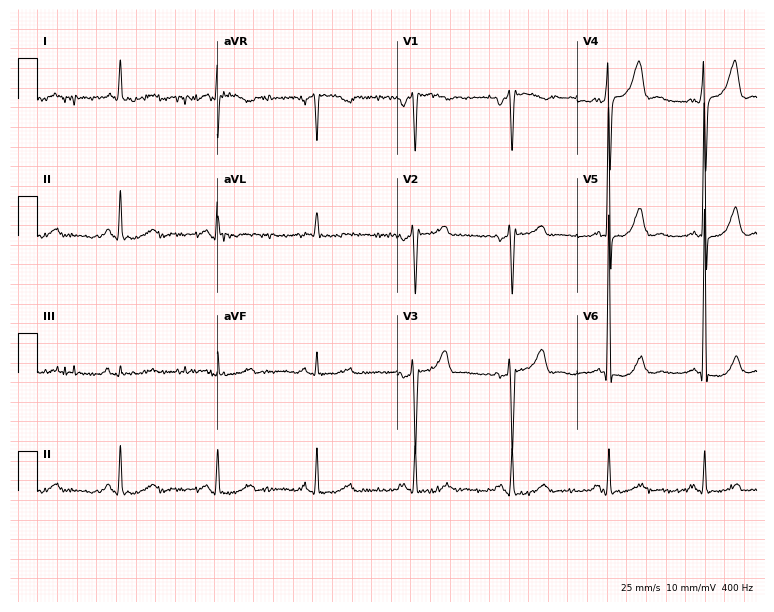
ECG (7.3-second recording at 400 Hz) — a 72-year-old male. Labelled as a normal ECG.